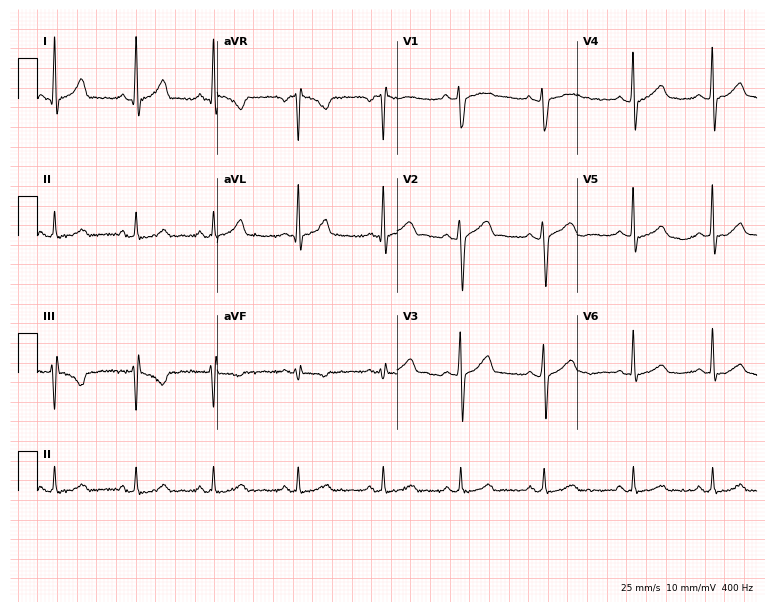
12-lead ECG from a 25-year-old male (7.3-second recording at 400 Hz). Recorded interpretation: within normal limits.